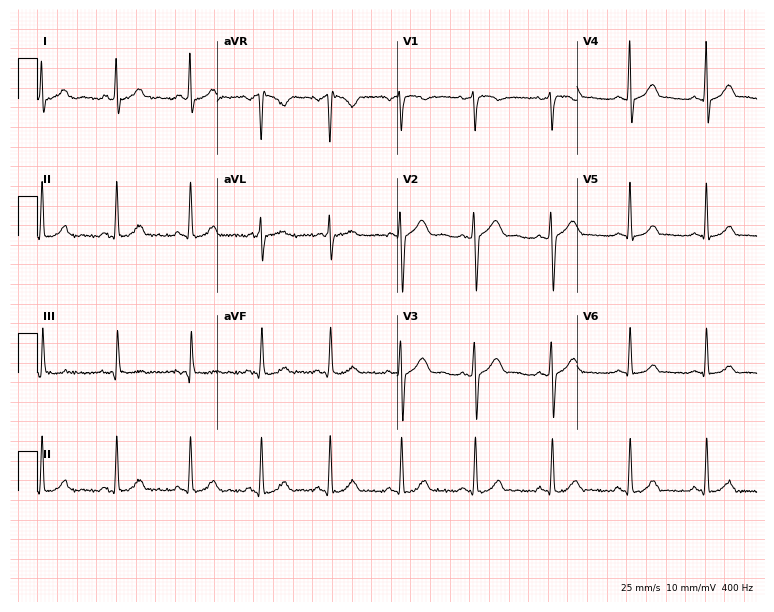
12-lead ECG from a 23-year-old female patient. No first-degree AV block, right bundle branch block, left bundle branch block, sinus bradycardia, atrial fibrillation or sinus tachycardia recorded for this tracing. Findings outside these six are not listed.